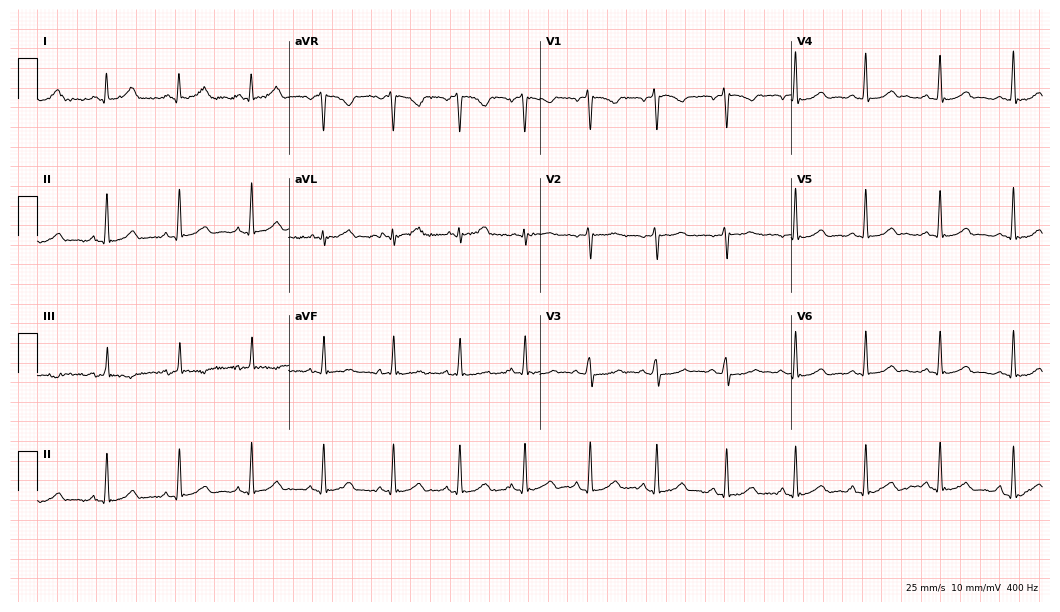
ECG — a 35-year-old female. Labelled as a normal ECG.